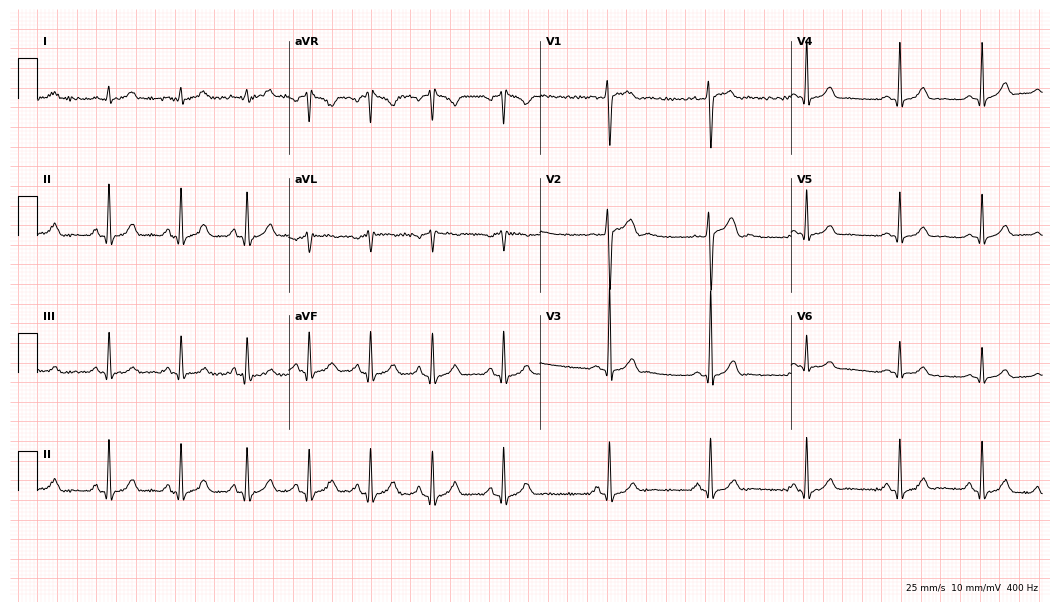
Resting 12-lead electrocardiogram (10.2-second recording at 400 Hz). Patient: a man, 25 years old. None of these six findings is recorded: first-degree AV block, right bundle branch block, left bundle branch block, sinus bradycardia, atrial fibrillation, sinus tachycardia.